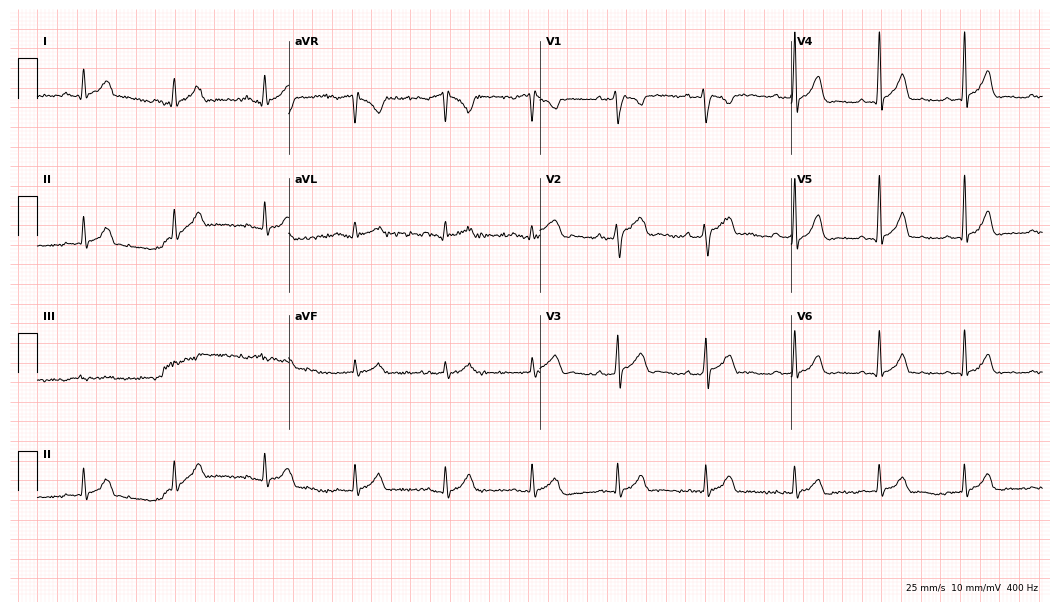
12-lead ECG from a 23-year-old male. Recorded interpretation: within normal limits.